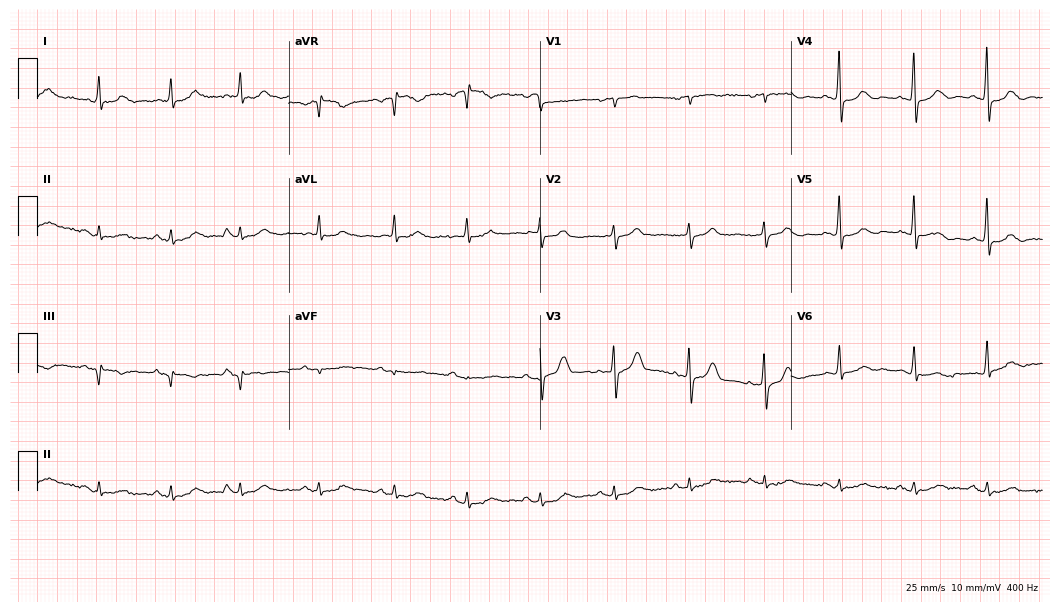
ECG — a female, 69 years old. Labelled as a normal ECG.